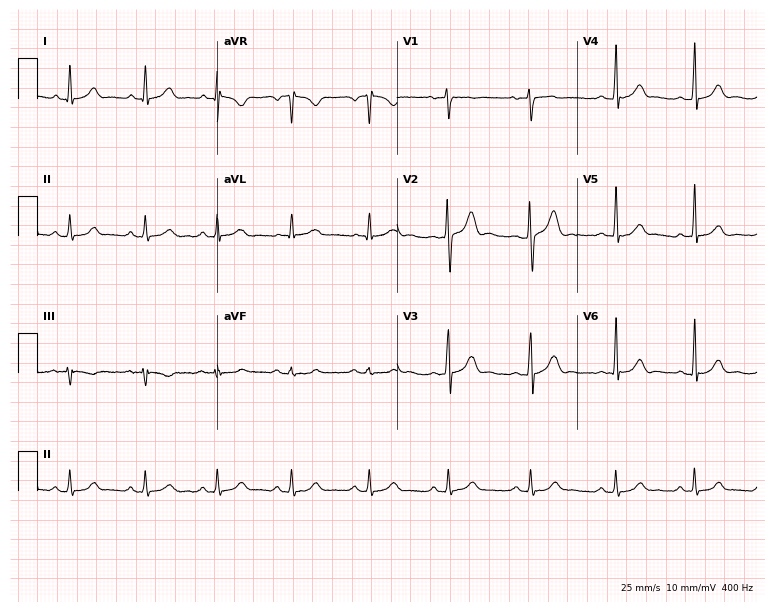
12-lead ECG (7.3-second recording at 400 Hz) from a man, 33 years old. Labelled as a normal ECG.